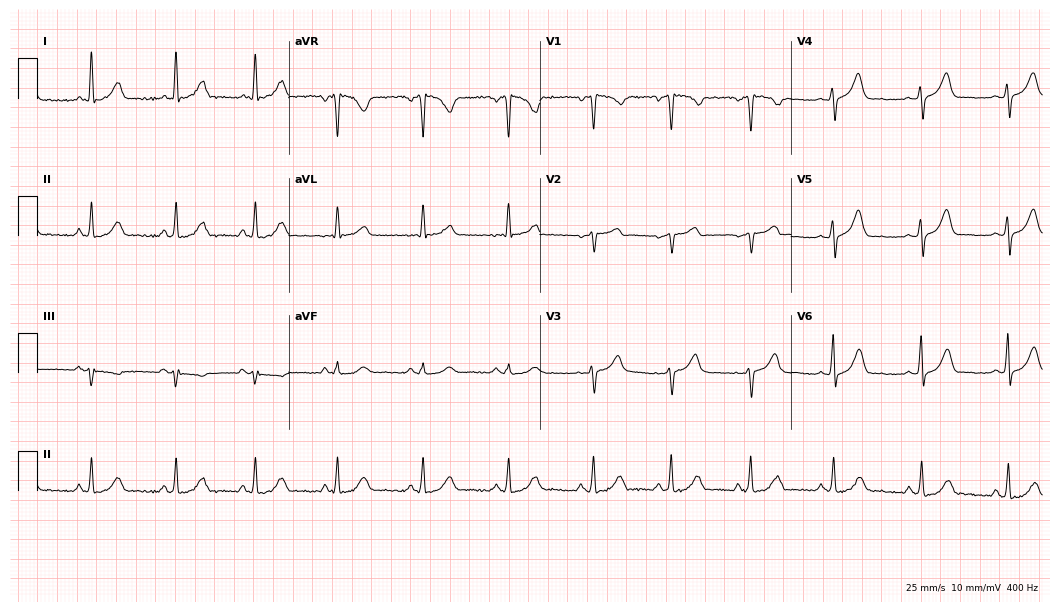
Standard 12-lead ECG recorded from a 46-year-old female patient (10.2-second recording at 400 Hz). None of these six findings is recorded: first-degree AV block, right bundle branch block, left bundle branch block, sinus bradycardia, atrial fibrillation, sinus tachycardia. Only these six findings were labelled.